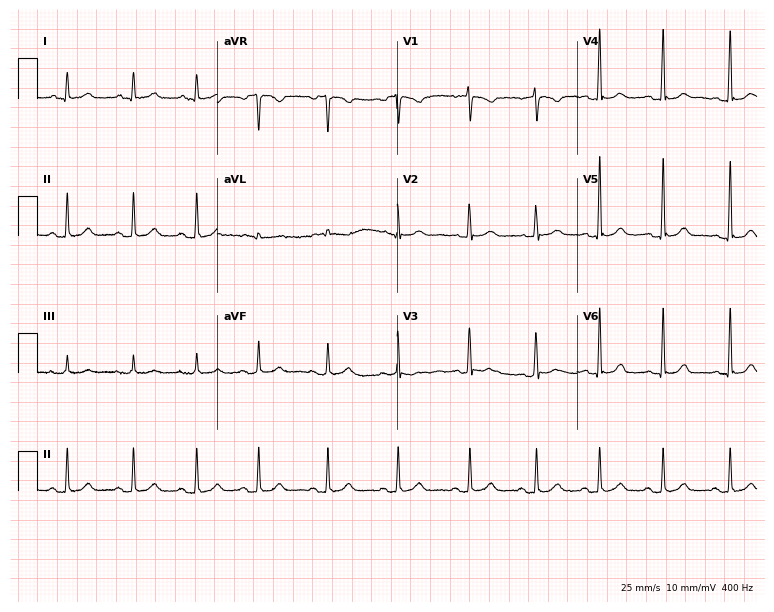
Resting 12-lead electrocardiogram. Patient: a female, 40 years old. Read as a normal ECG.